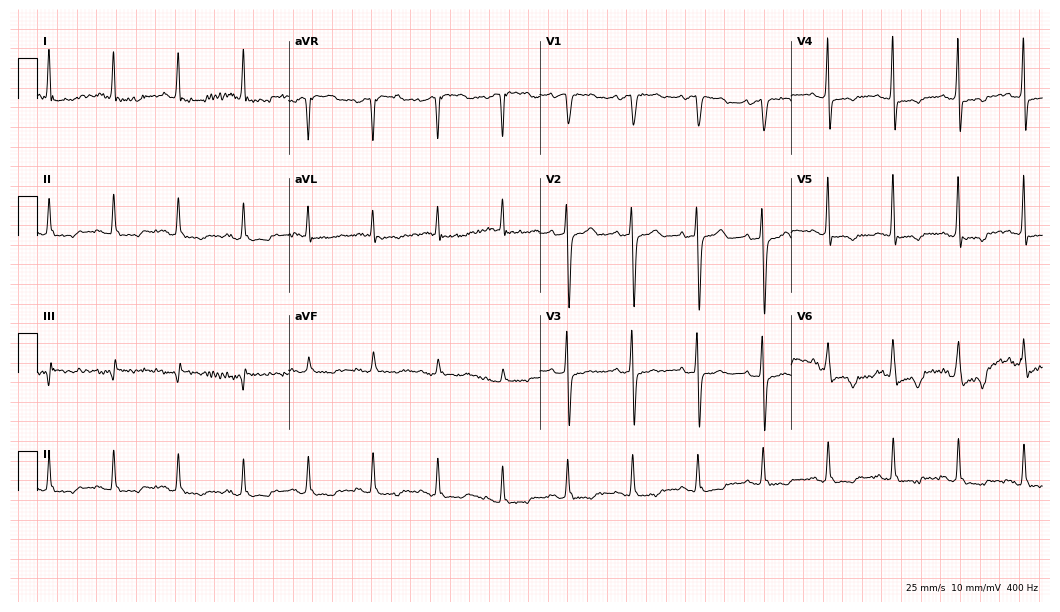
Electrocardiogram (10.2-second recording at 400 Hz), a woman, 81 years old. Of the six screened findings (first-degree AV block, right bundle branch block (RBBB), left bundle branch block (LBBB), sinus bradycardia, atrial fibrillation (AF), sinus tachycardia), none is recorded. Other findings, if any, are not listed.